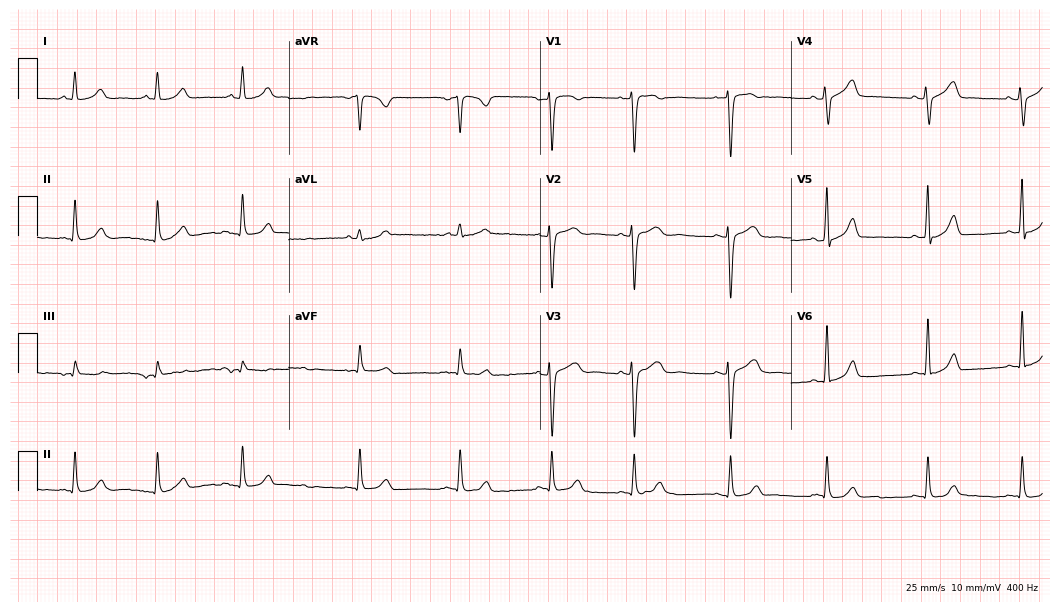
12-lead ECG (10.2-second recording at 400 Hz) from a 43-year-old woman. Labelled as a normal ECG.